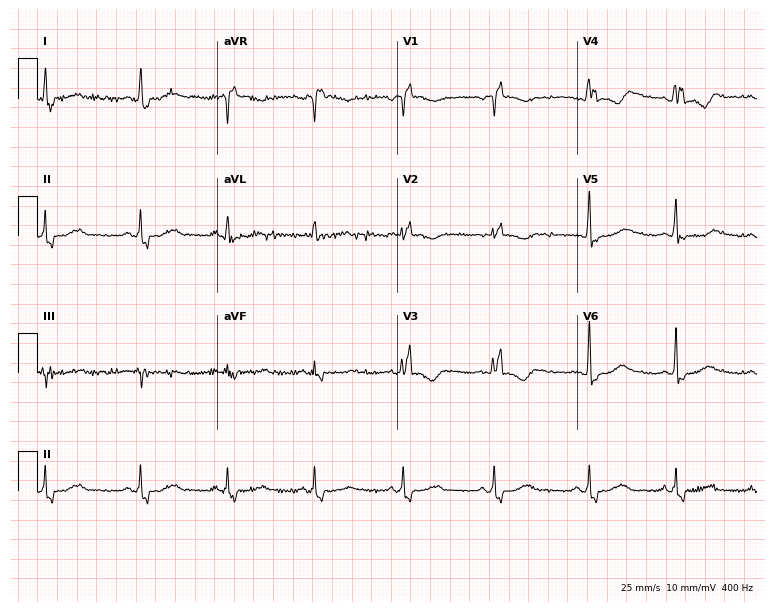
12-lead ECG from a female patient, 61 years old. Shows right bundle branch block (RBBB).